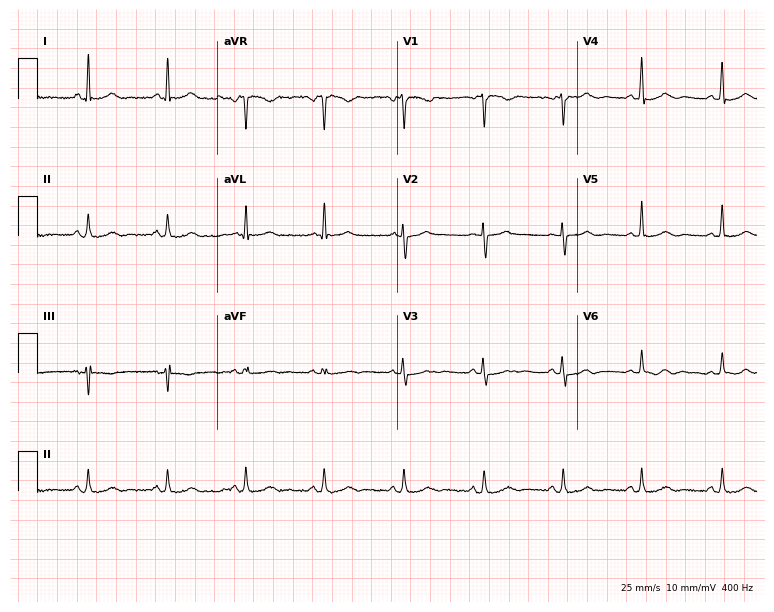
Standard 12-lead ECG recorded from a male patient, 57 years old (7.3-second recording at 400 Hz). Read as a normal ECG.